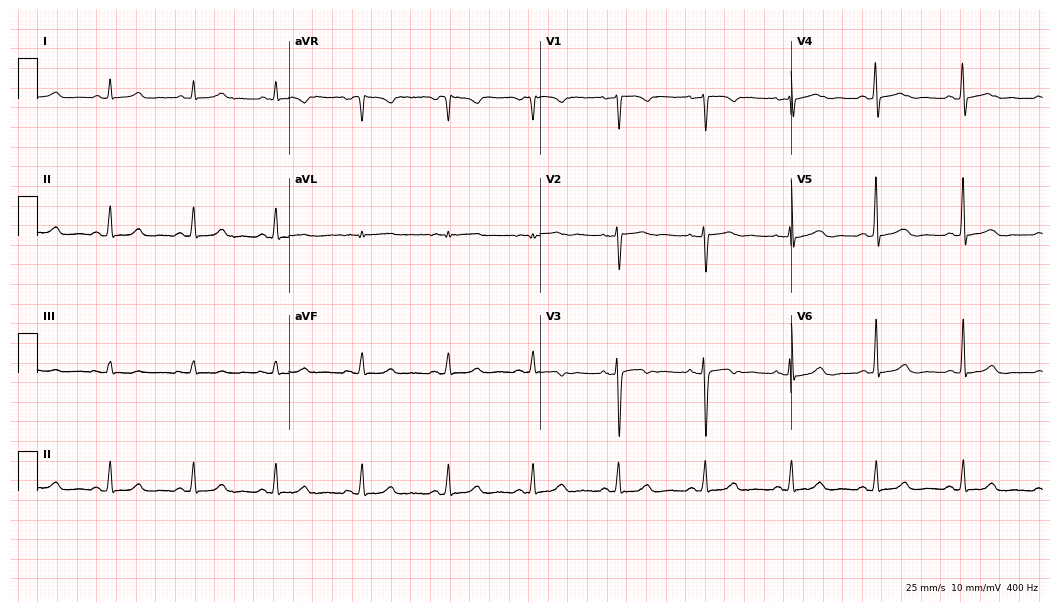
Standard 12-lead ECG recorded from a 45-year-old woman (10.2-second recording at 400 Hz). Read as a normal ECG.